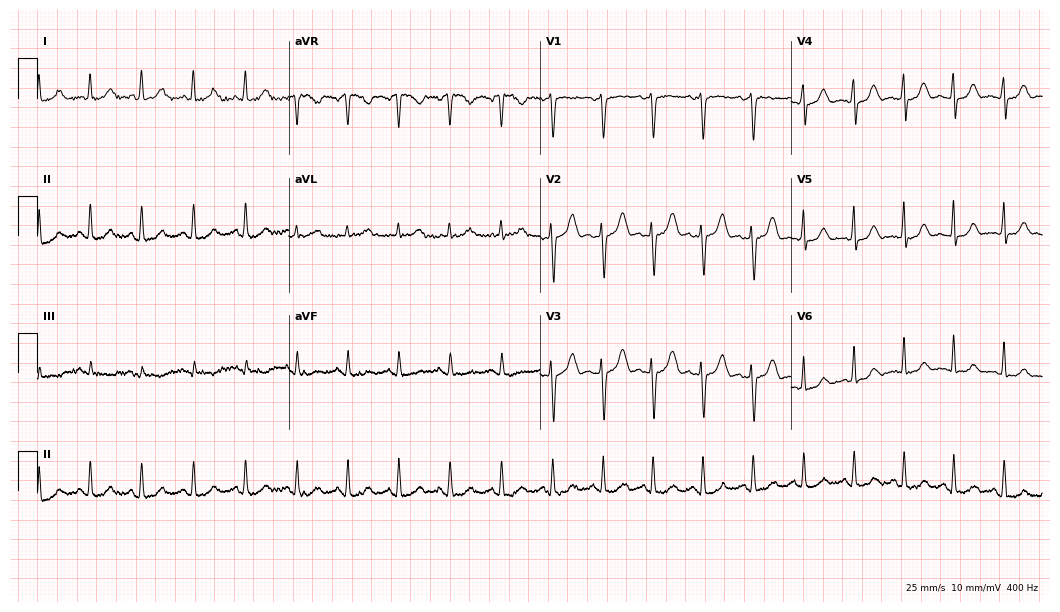
12-lead ECG from a 27-year-old female patient (10.2-second recording at 400 Hz). No first-degree AV block, right bundle branch block (RBBB), left bundle branch block (LBBB), sinus bradycardia, atrial fibrillation (AF) or sinus tachycardia recorded for this tracing.